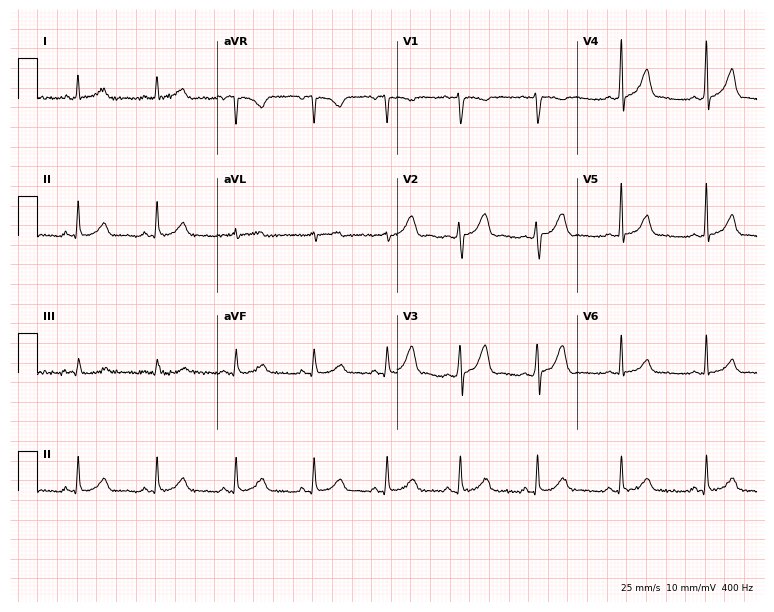
Resting 12-lead electrocardiogram (7.3-second recording at 400 Hz). Patient: a female, 30 years old. Read as a normal ECG.